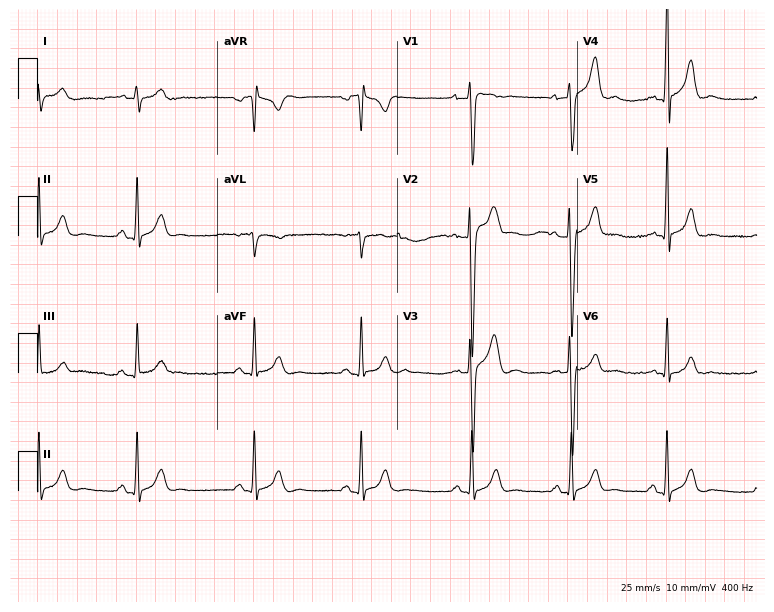
Resting 12-lead electrocardiogram. Patient: a man, 22 years old. None of these six findings is recorded: first-degree AV block, right bundle branch block, left bundle branch block, sinus bradycardia, atrial fibrillation, sinus tachycardia.